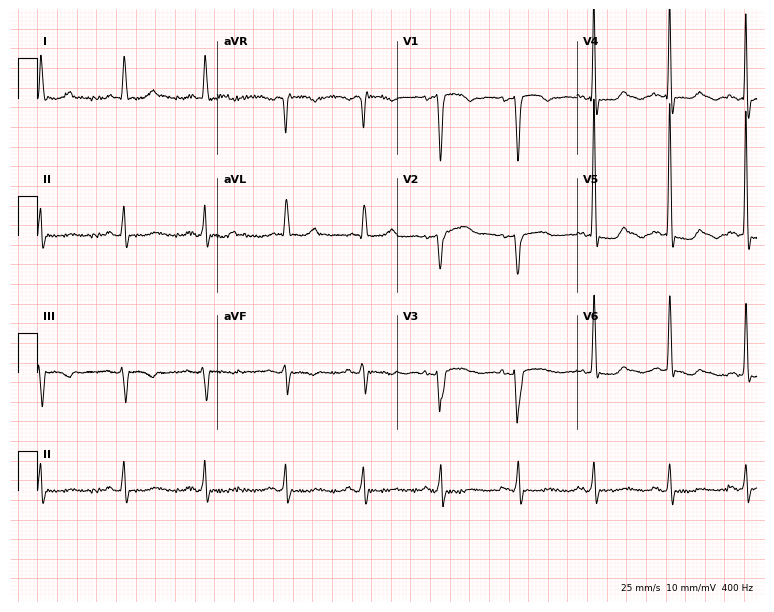
ECG (7.3-second recording at 400 Hz) — a 71-year-old female patient. Screened for six findings — first-degree AV block, right bundle branch block, left bundle branch block, sinus bradycardia, atrial fibrillation, sinus tachycardia — none is recorded. Other findings, if any, are not listed.